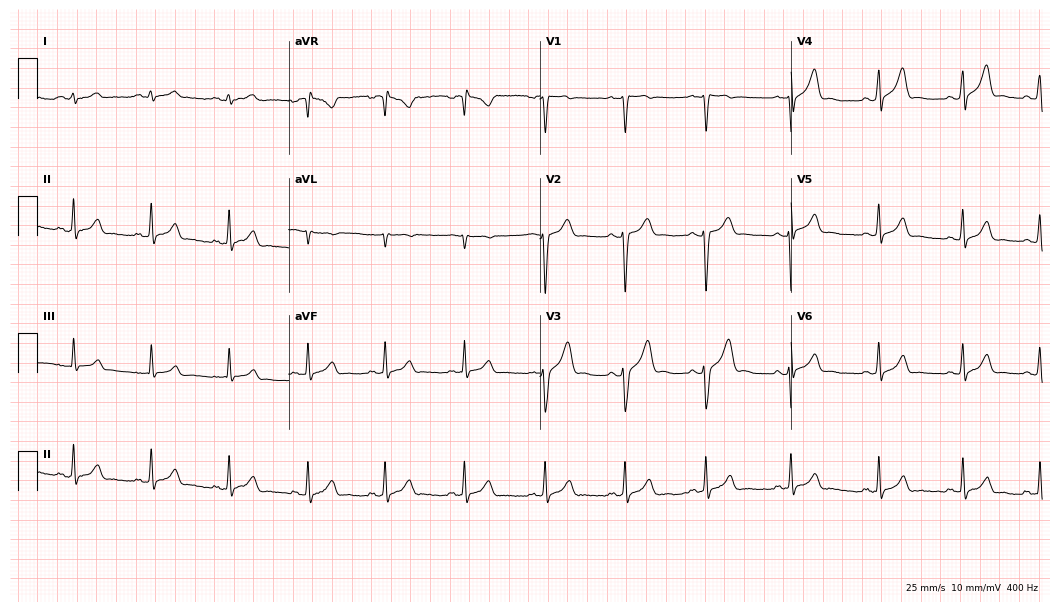
Electrocardiogram (10.2-second recording at 400 Hz), a 27-year-old male. Overall reading on record: normal ECG.